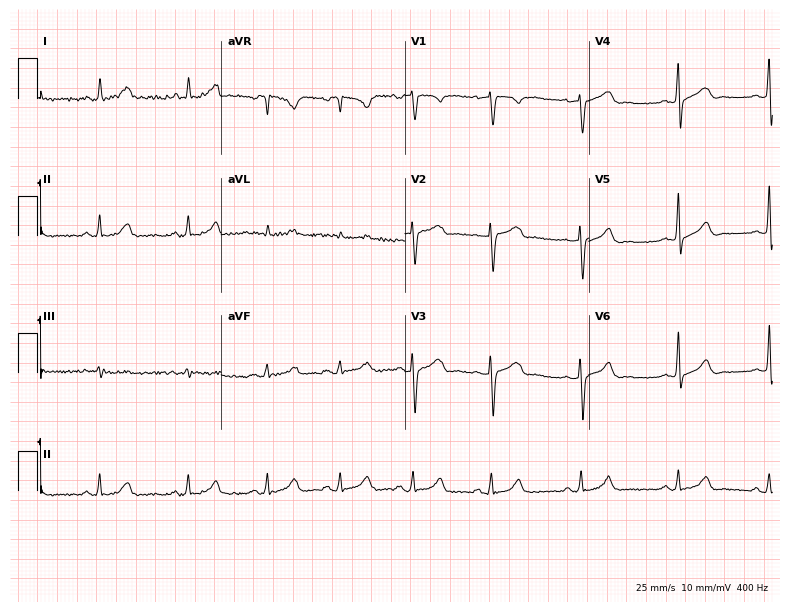
Electrocardiogram, a 39-year-old woman. Of the six screened findings (first-degree AV block, right bundle branch block, left bundle branch block, sinus bradycardia, atrial fibrillation, sinus tachycardia), none is recorded. Other findings, if any, are not listed.